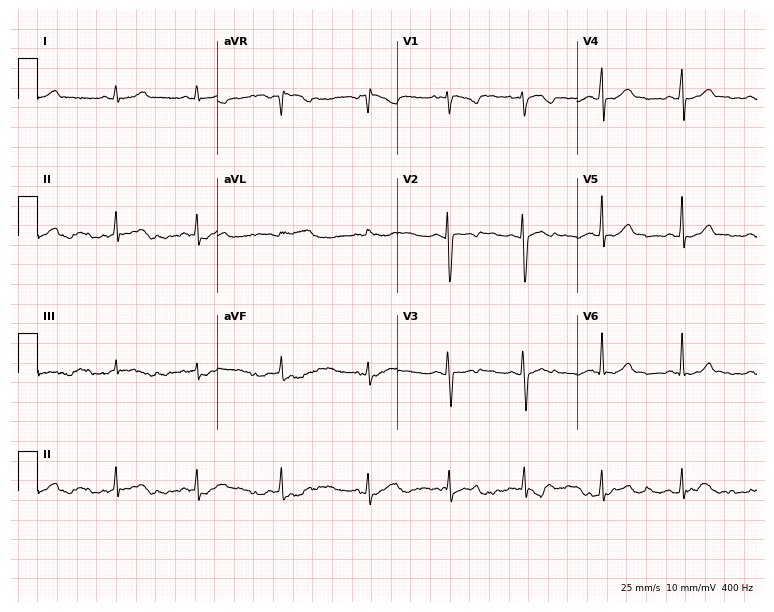
12-lead ECG from a 31-year-old female patient (7.3-second recording at 400 Hz). No first-degree AV block, right bundle branch block, left bundle branch block, sinus bradycardia, atrial fibrillation or sinus tachycardia recorded for this tracing.